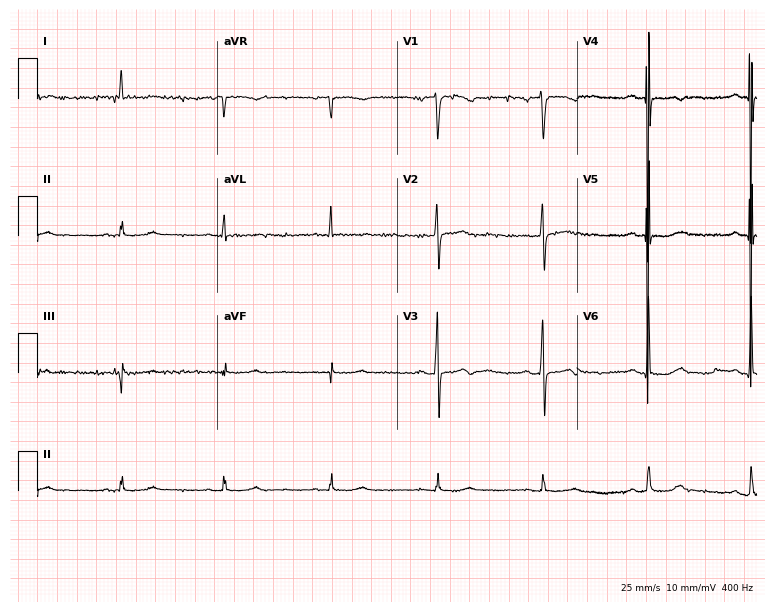
12-lead ECG from a 78-year-old woman. No first-degree AV block, right bundle branch block, left bundle branch block, sinus bradycardia, atrial fibrillation or sinus tachycardia recorded for this tracing. Findings outside these six are not listed.